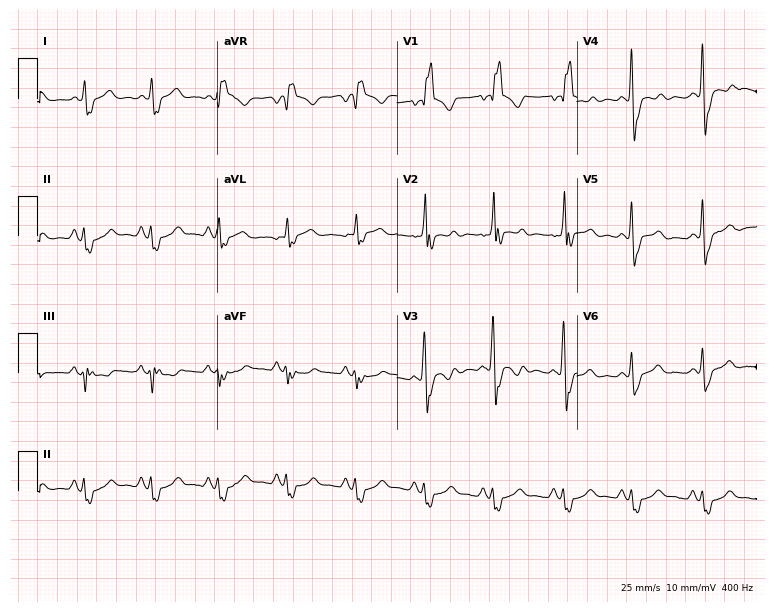
Resting 12-lead electrocardiogram. Patient: a man, 60 years old. The tracing shows right bundle branch block (RBBB).